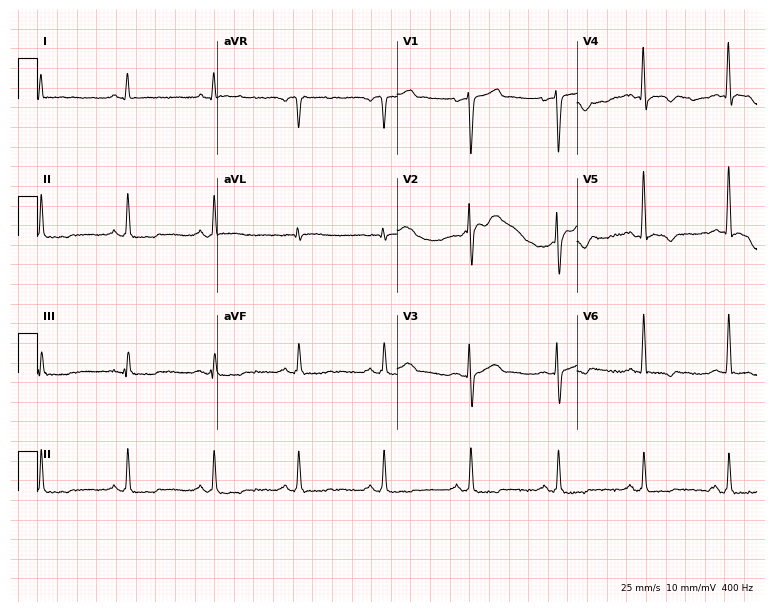
12-lead ECG from a man, 53 years old. Screened for six findings — first-degree AV block, right bundle branch block (RBBB), left bundle branch block (LBBB), sinus bradycardia, atrial fibrillation (AF), sinus tachycardia — none is recorded. Findings outside these six are not listed.